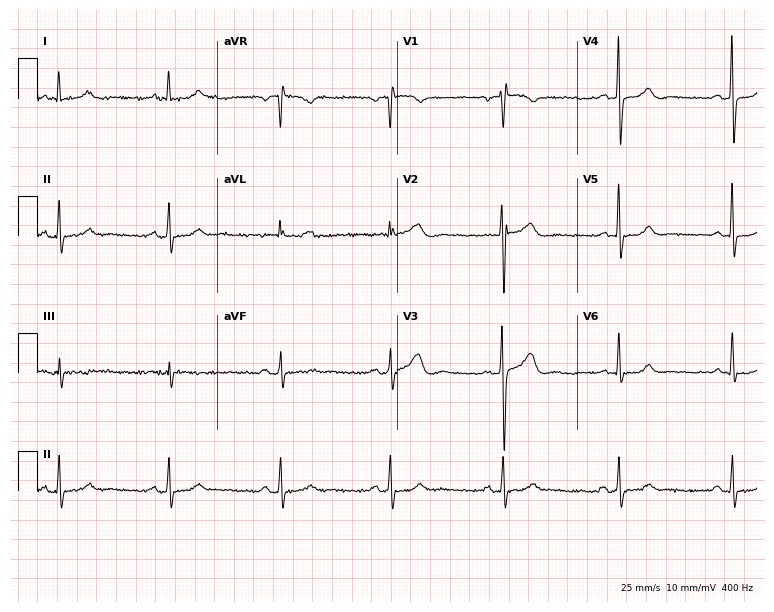
12-lead ECG (7.3-second recording at 400 Hz) from a female patient, 64 years old. Screened for six findings — first-degree AV block, right bundle branch block, left bundle branch block, sinus bradycardia, atrial fibrillation, sinus tachycardia — none is recorded. Only these six findings were labelled.